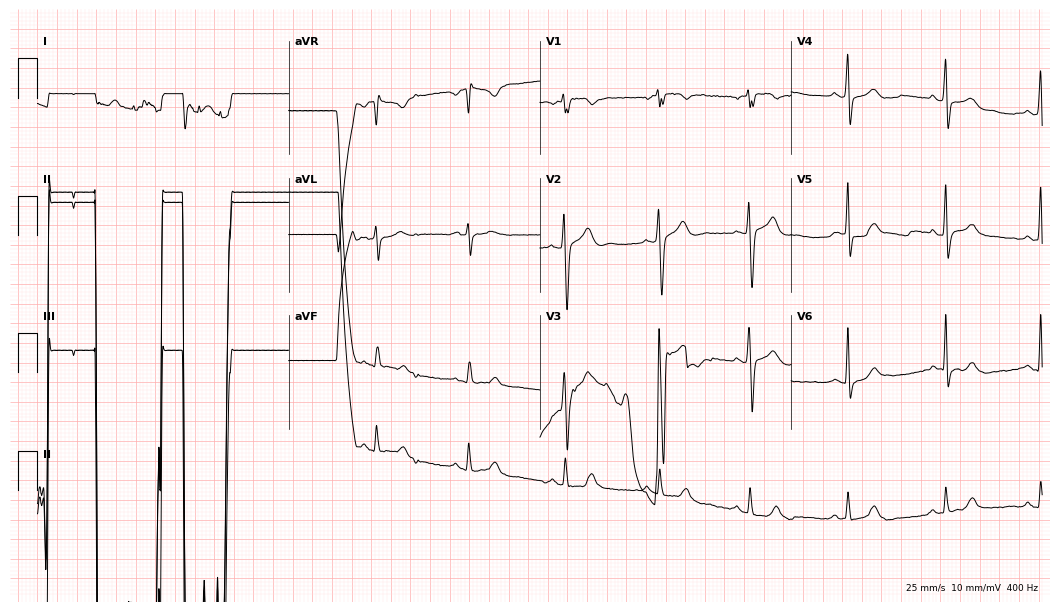
ECG — a 44-year-old male. Screened for six findings — first-degree AV block, right bundle branch block, left bundle branch block, sinus bradycardia, atrial fibrillation, sinus tachycardia — none is recorded. Other findings, if any, are not listed.